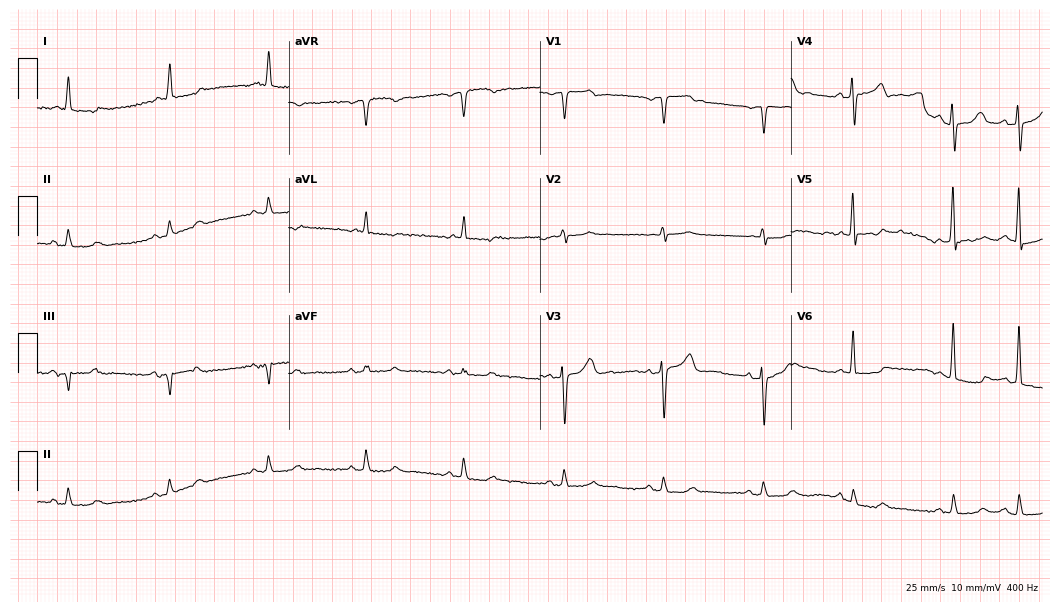
ECG — a male, 85 years old. Screened for six findings — first-degree AV block, right bundle branch block (RBBB), left bundle branch block (LBBB), sinus bradycardia, atrial fibrillation (AF), sinus tachycardia — none is recorded. Findings outside these six are not listed.